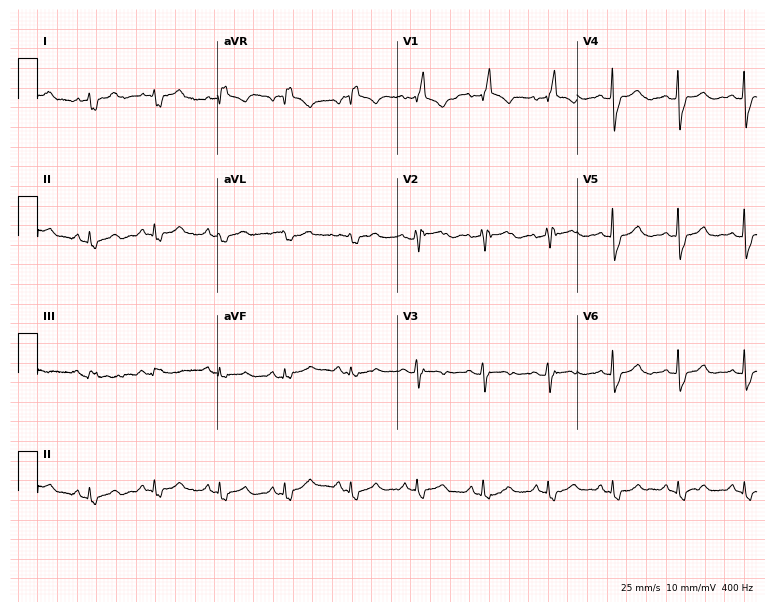
12-lead ECG from a woman, 73 years old. Shows right bundle branch block (RBBB).